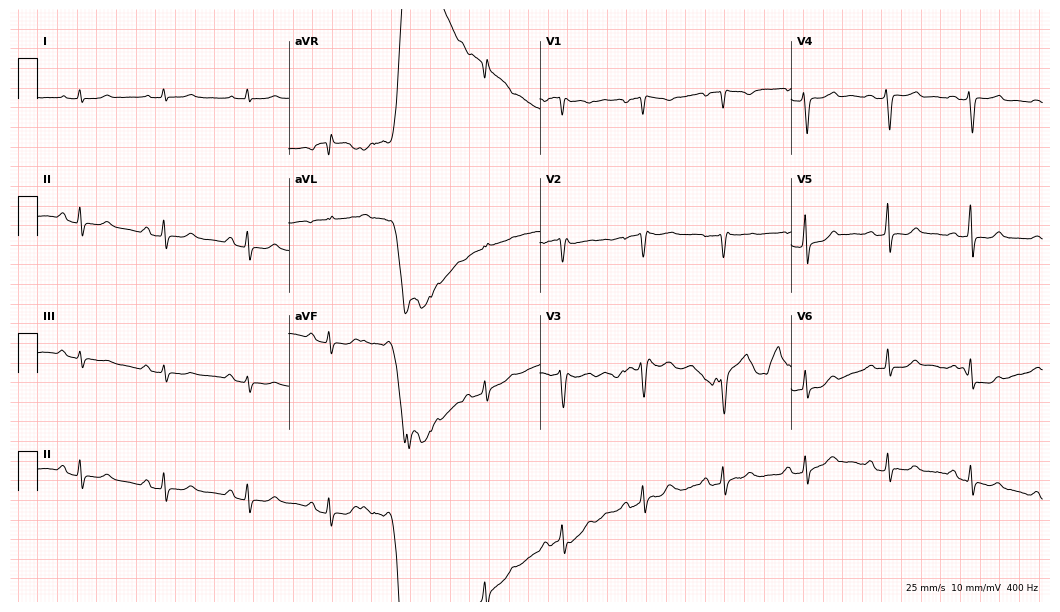
Resting 12-lead electrocardiogram. Patient: a woman, 47 years old. None of these six findings is recorded: first-degree AV block, right bundle branch block, left bundle branch block, sinus bradycardia, atrial fibrillation, sinus tachycardia. Other findings, if any, are not listed.